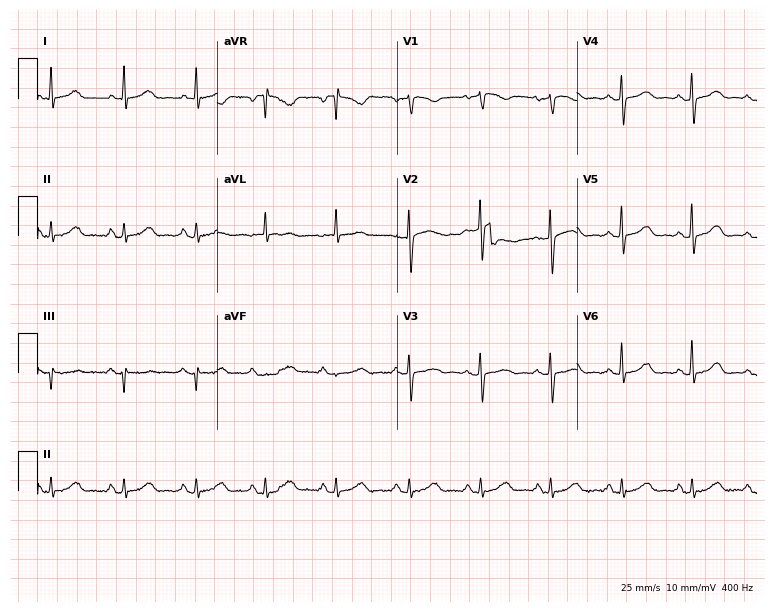
Resting 12-lead electrocardiogram (7.3-second recording at 400 Hz). Patient: a 53-year-old female. Read as a normal ECG.